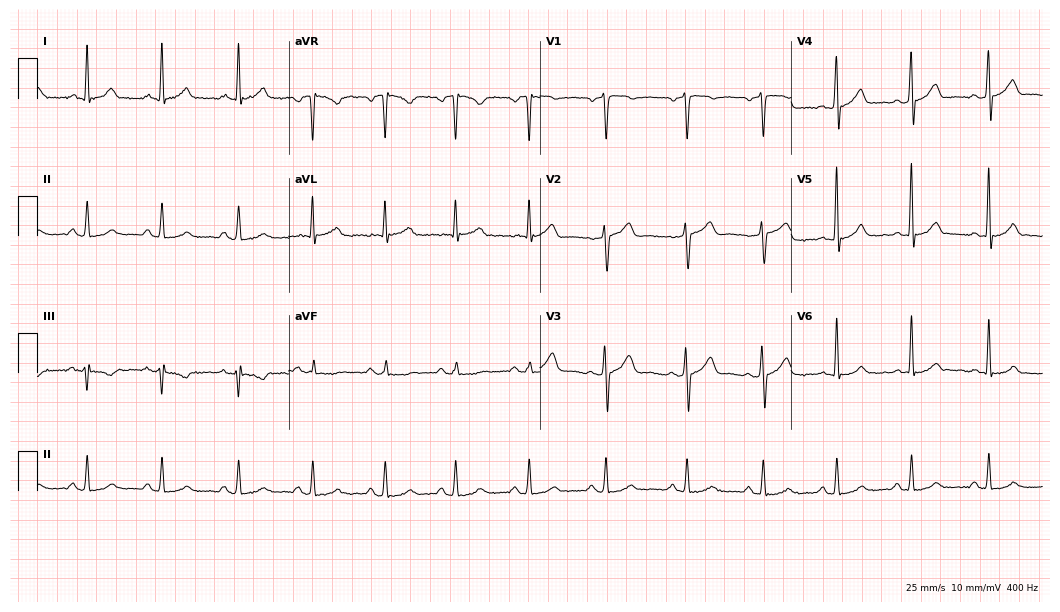
12-lead ECG from a male, 48 years old. Labelled as a normal ECG.